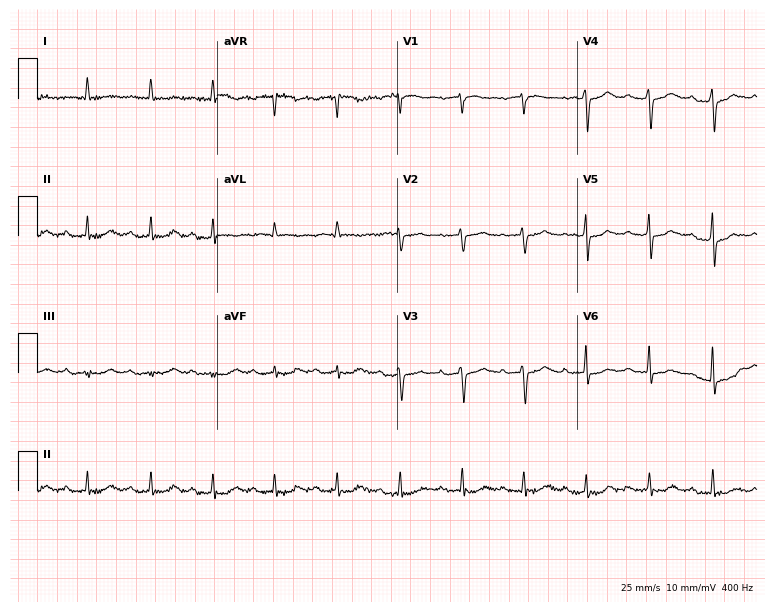
Electrocardiogram, an 85-year-old female. Interpretation includes first-degree AV block.